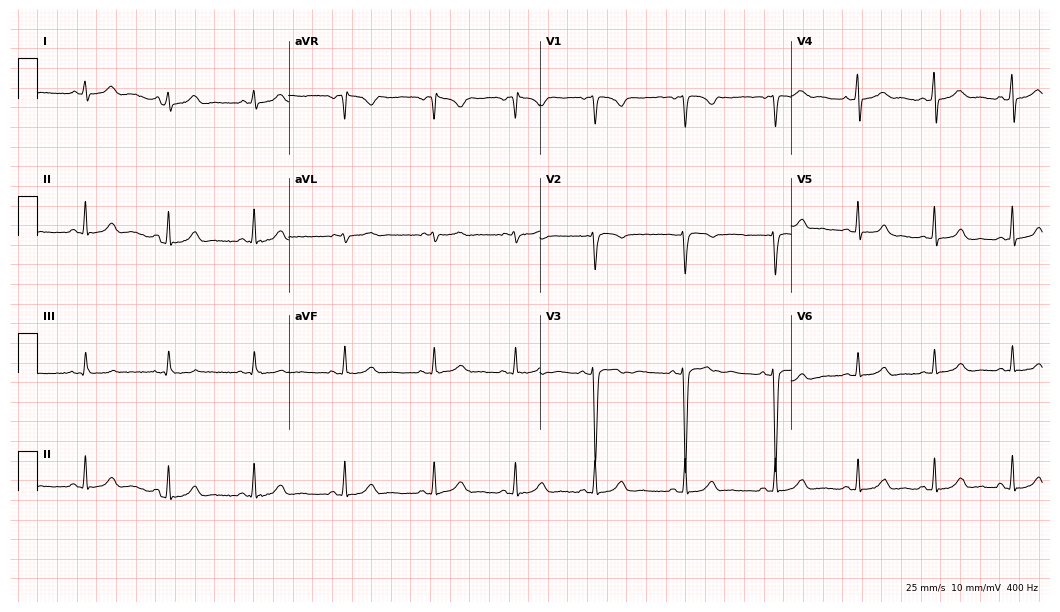
12-lead ECG from a 21-year-old woman. Screened for six findings — first-degree AV block, right bundle branch block, left bundle branch block, sinus bradycardia, atrial fibrillation, sinus tachycardia — none is recorded. Only these six findings were labelled.